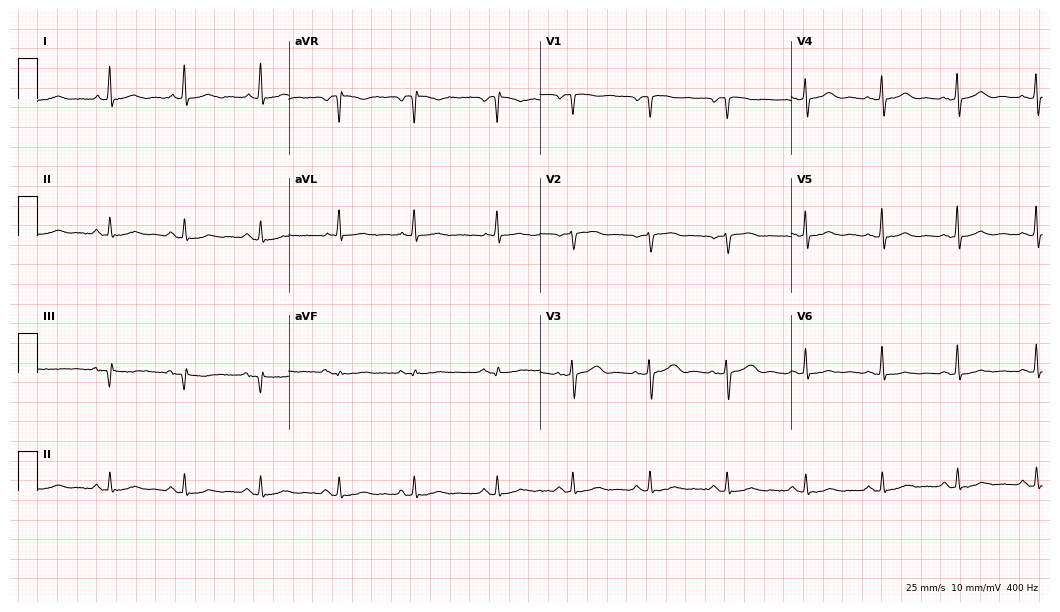
12-lead ECG from a 68-year-old female patient (10.2-second recording at 400 Hz). Recorded interpretation: within normal limits.